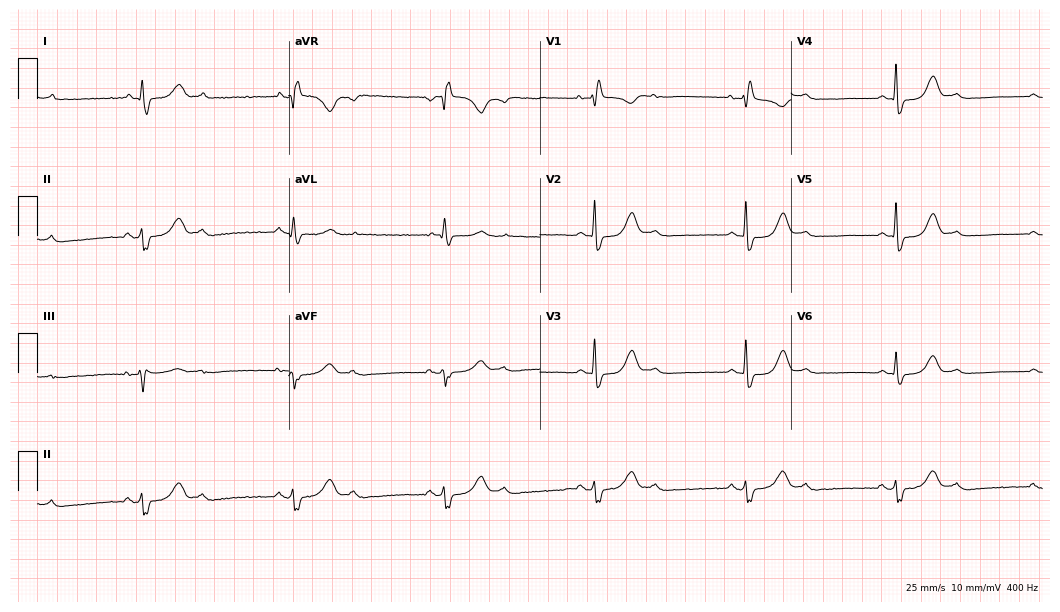
Resting 12-lead electrocardiogram (10.2-second recording at 400 Hz). Patient: a 49-year-old female. None of these six findings is recorded: first-degree AV block, right bundle branch block (RBBB), left bundle branch block (LBBB), sinus bradycardia, atrial fibrillation (AF), sinus tachycardia. Other findings, if any, are not listed.